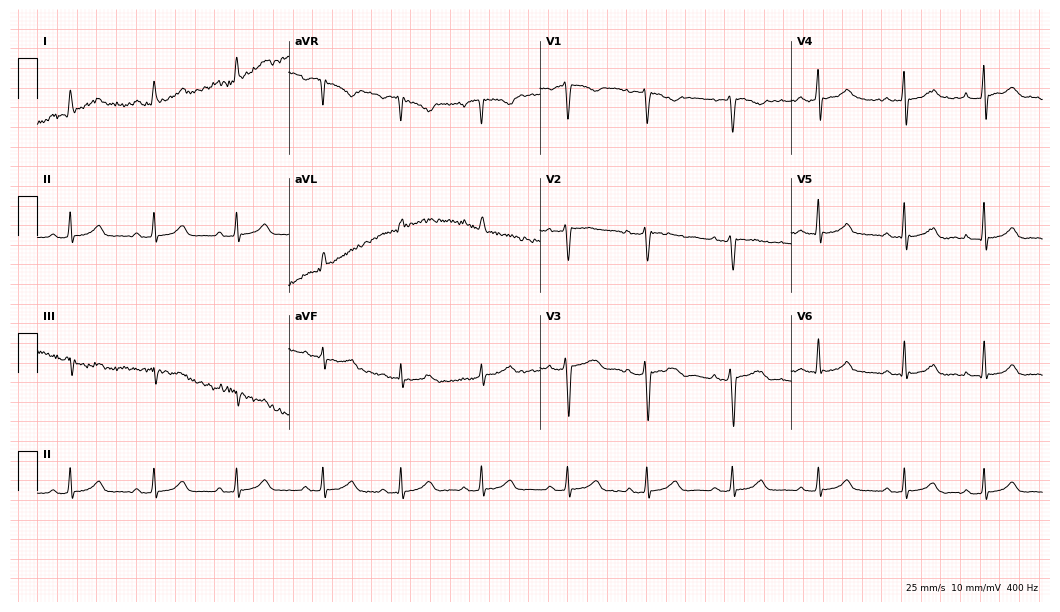
12-lead ECG from a woman, 47 years old. Recorded interpretation: within normal limits.